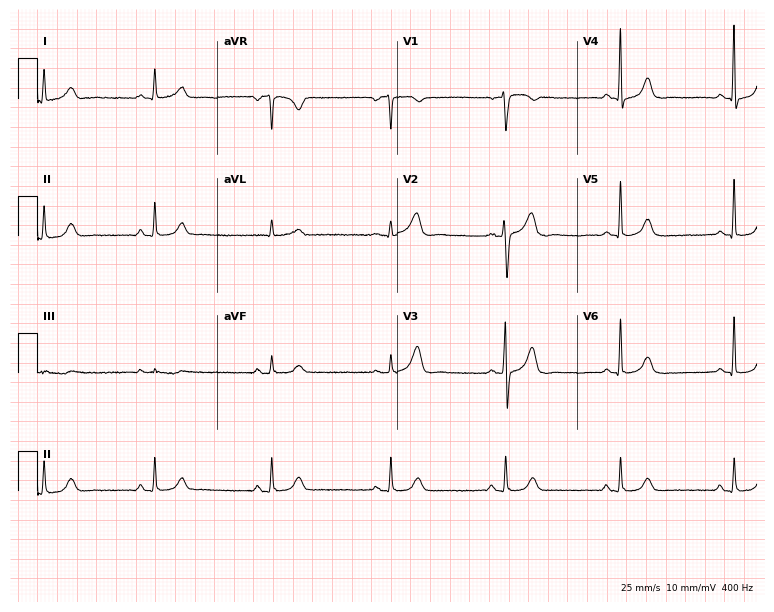
12-lead ECG from a 54-year-old female. Screened for six findings — first-degree AV block, right bundle branch block, left bundle branch block, sinus bradycardia, atrial fibrillation, sinus tachycardia — none is recorded. Only these six findings were labelled.